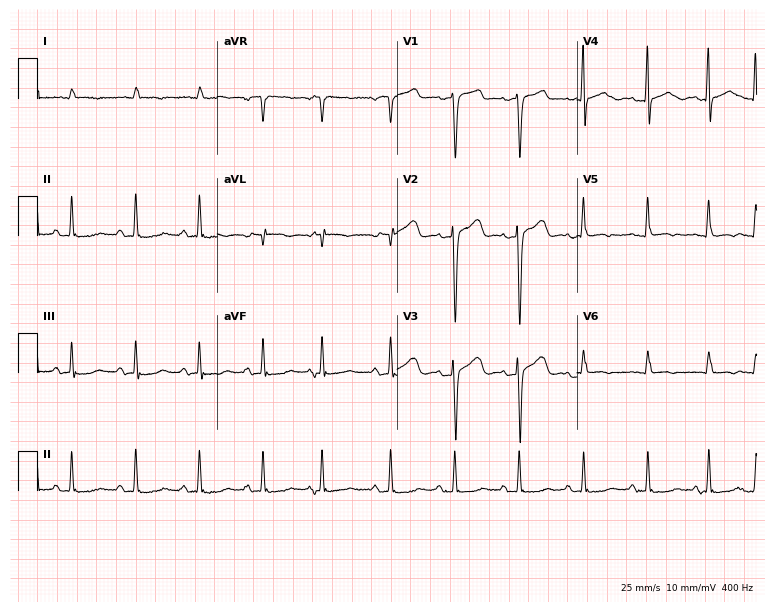
12-lead ECG (7.3-second recording at 400 Hz) from an 84-year-old male. Screened for six findings — first-degree AV block, right bundle branch block, left bundle branch block, sinus bradycardia, atrial fibrillation, sinus tachycardia — none is recorded.